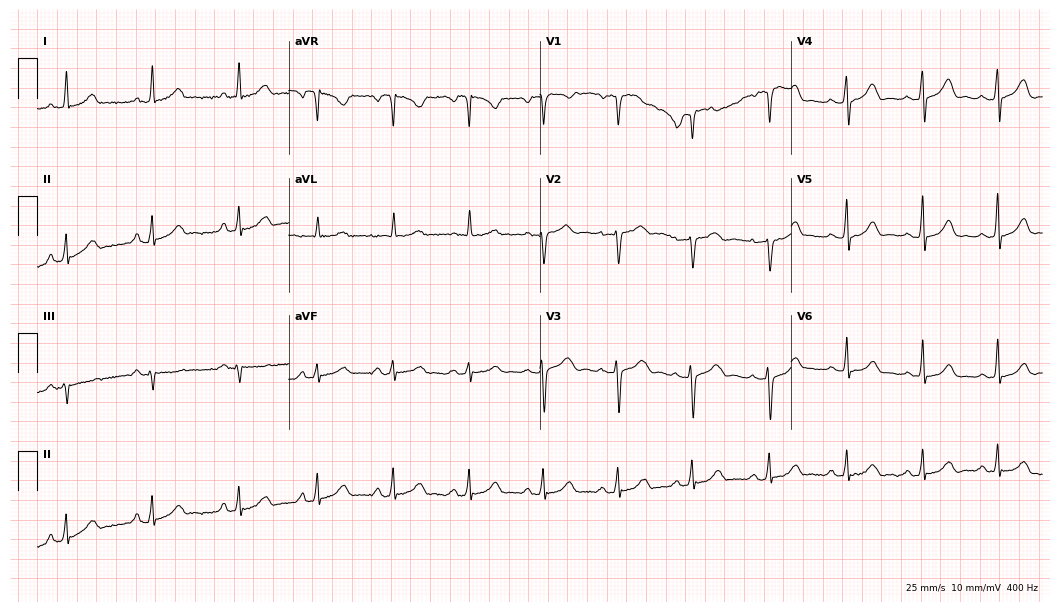
Electrocardiogram (10.2-second recording at 400 Hz), a 46-year-old woman. Overall reading on record: normal ECG.